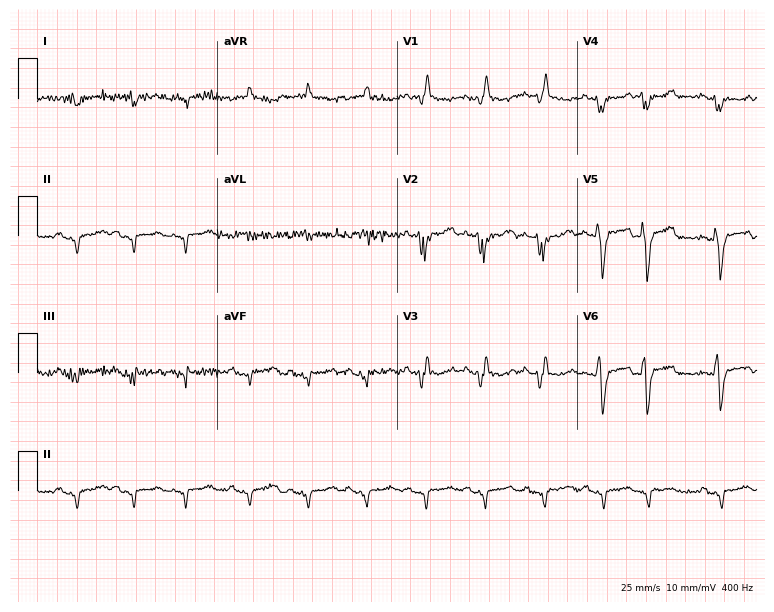
12-lead ECG from a male patient, 67 years old (7.3-second recording at 400 Hz). Shows right bundle branch block, sinus tachycardia (a sinus rate of 100 beats per minute or more).